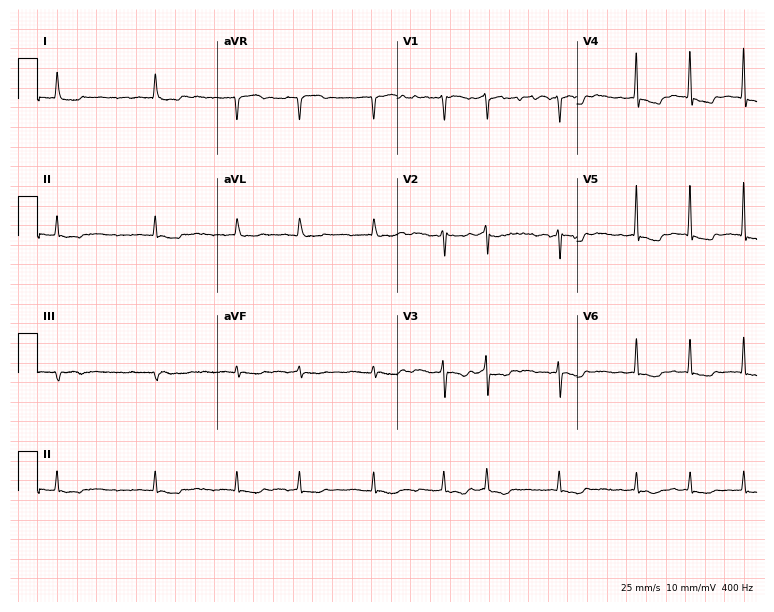
12-lead ECG from a 76-year-old woman. Shows atrial fibrillation (AF).